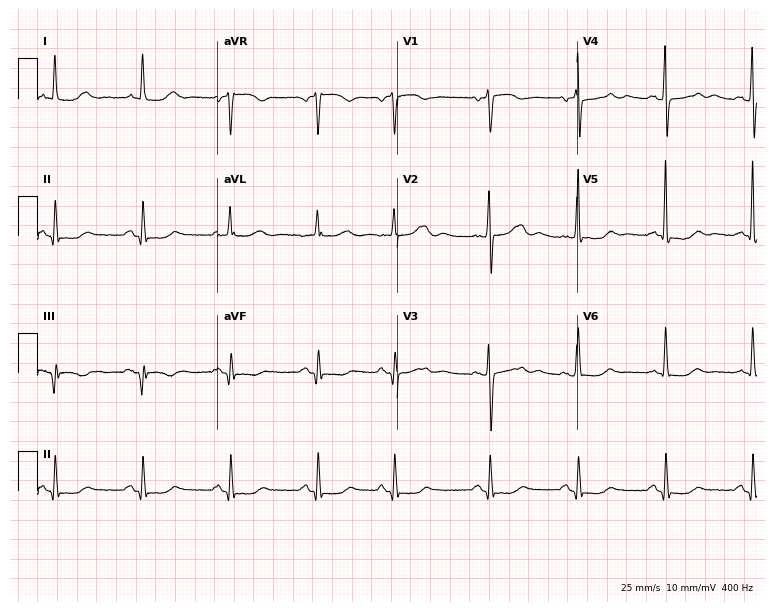
12-lead ECG (7.3-second recording at 400 Hz) from a 78-year-old female. Screened for six findings — first-degree AV block, right bundle branch block, left bundle branch block, sinus bradycardia, atrial fibrillation, sinus tachycardia — none is recorded. Only these six findings were labelled.